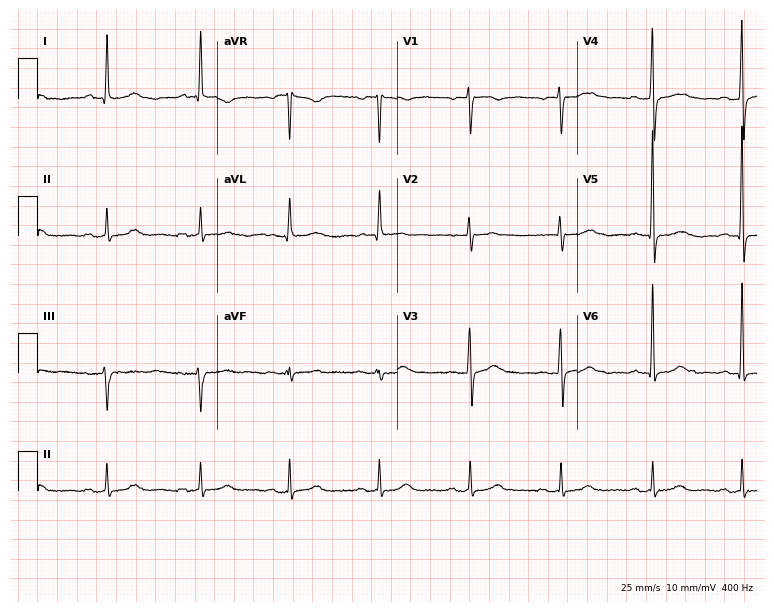
12-lead ECG from a woman, 59 years old. Labelled as a normal ECG.